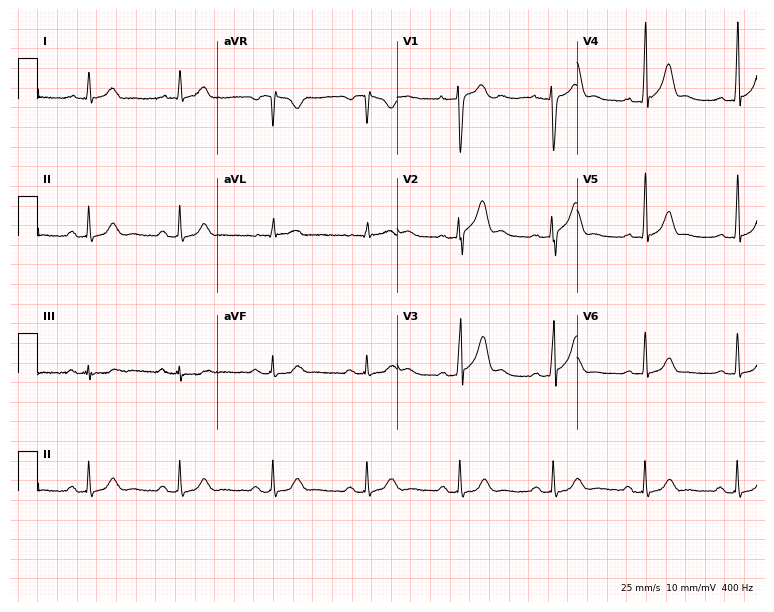
Standard 12-lead ECG recorded from a 39-year-old male patient. Read as a normal ECG.